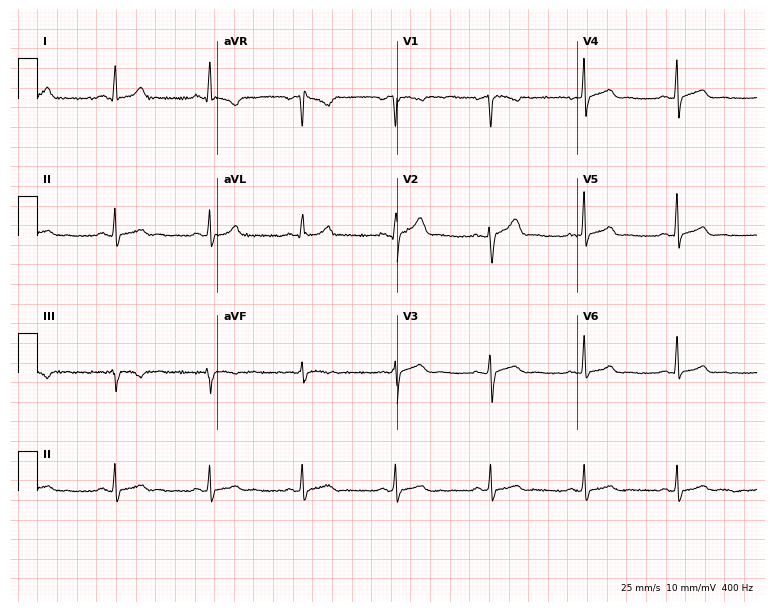
Resting 12-lead electrocardiogram (7.3-second recording at 400 Hz). Patient: a female, 37 years old. Read as a normal ECG.